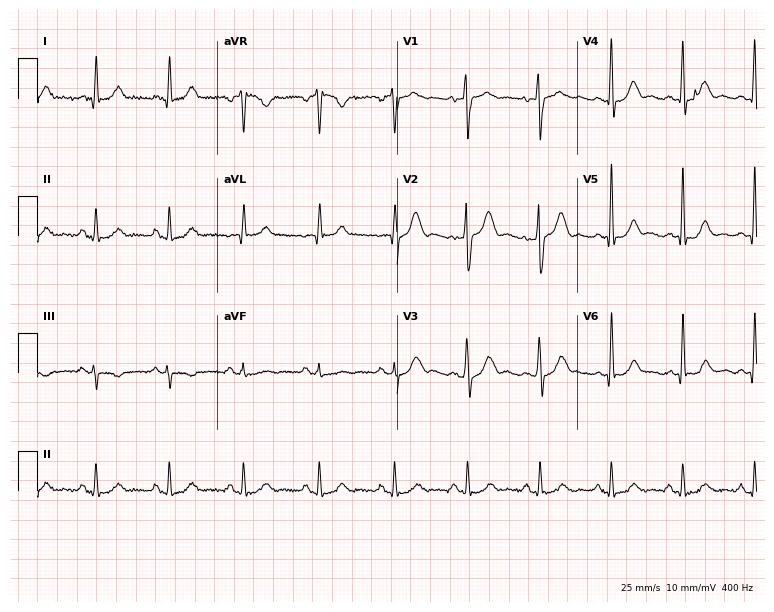
ECG — a man, 66 years old. Labelled as a normal ECG.